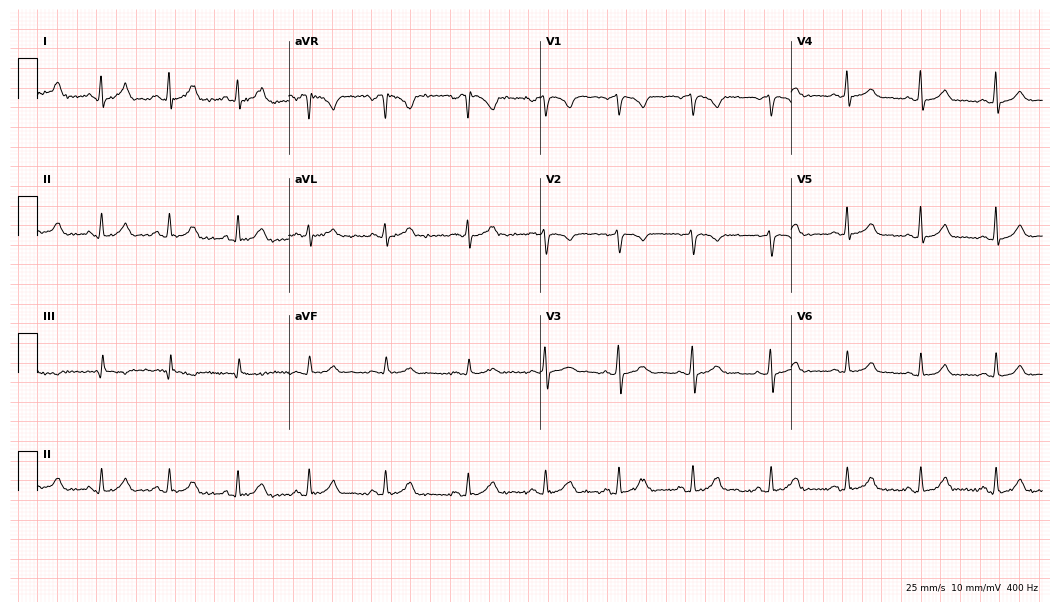
ECG — a female, 36 years old. Labelled as a normal ECG.